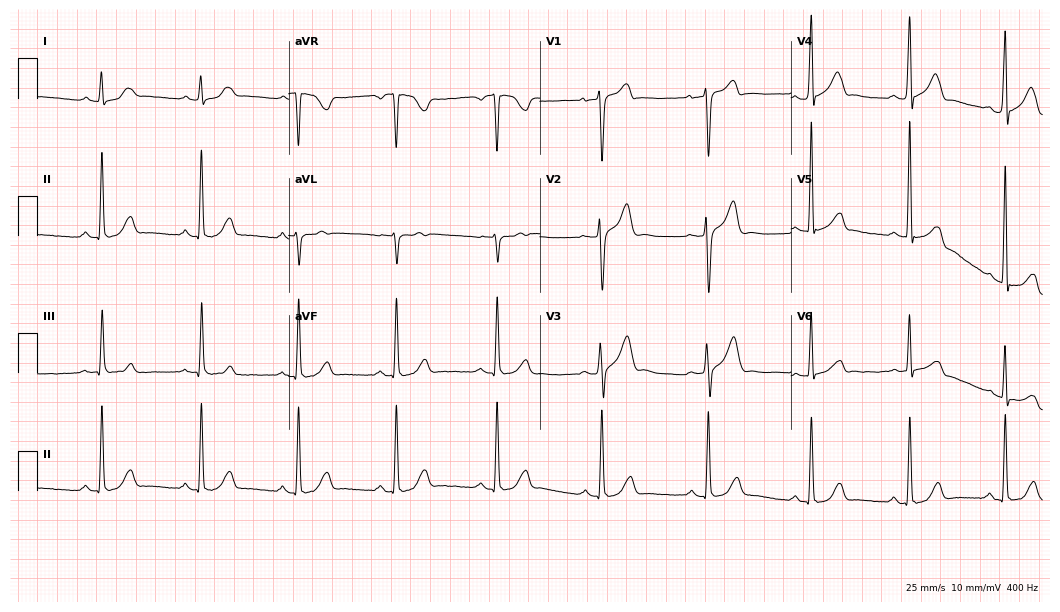
ECG (10.2-second recording at 400 Hz) — a male patient, 35 years old. Labelled as a normal ECG.